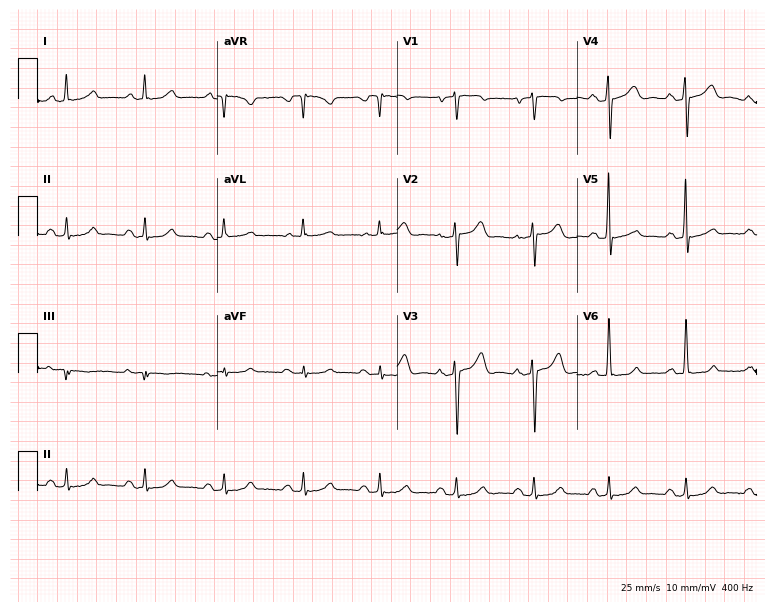
12-lead ECG from a female patient, 57 years old. No first-degree AV block, right bundle branch block (RBBB), left bundle branch block (LBBB), sinus bradycardia, atrial fibrillation (AF) or sinus tachycardia recorded for this tracing. Other findings, if any, are not listed.